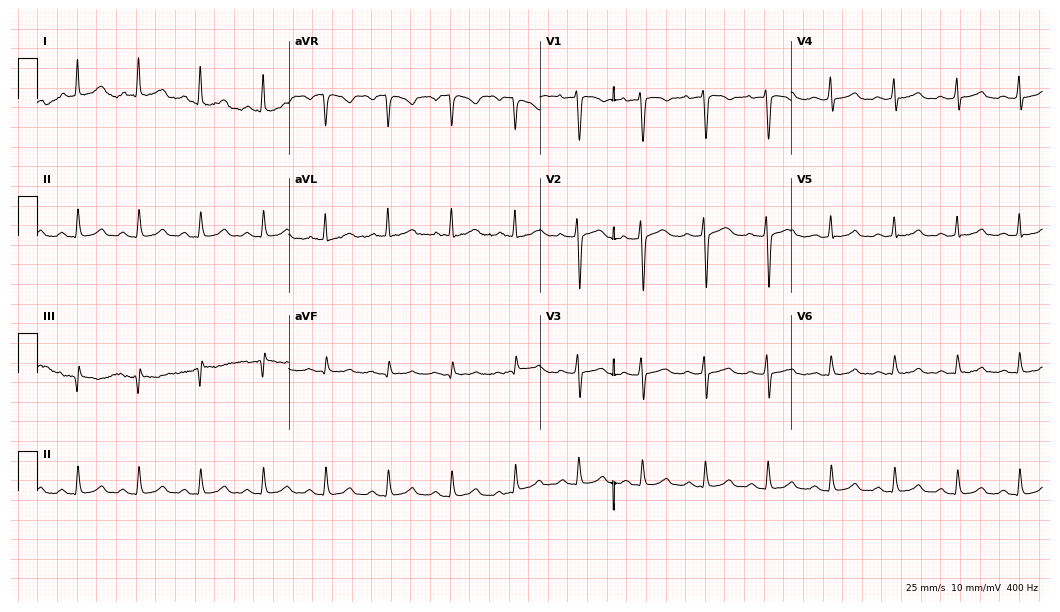
ECG (10.2-second recording at 400 Hz) — a female patient, 28 years old. Labelled as a normal ECG.